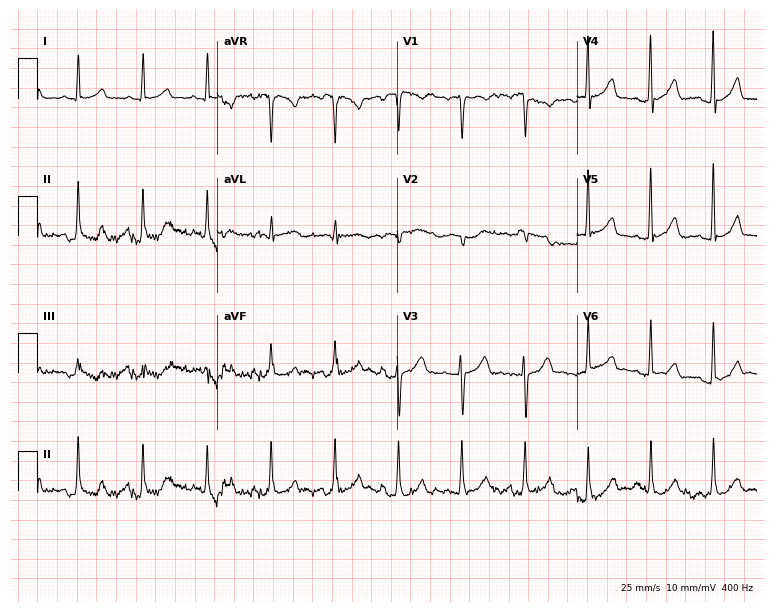
Electrocardiogram, a female, 41 years old. Overall reading on record: normal ECG.